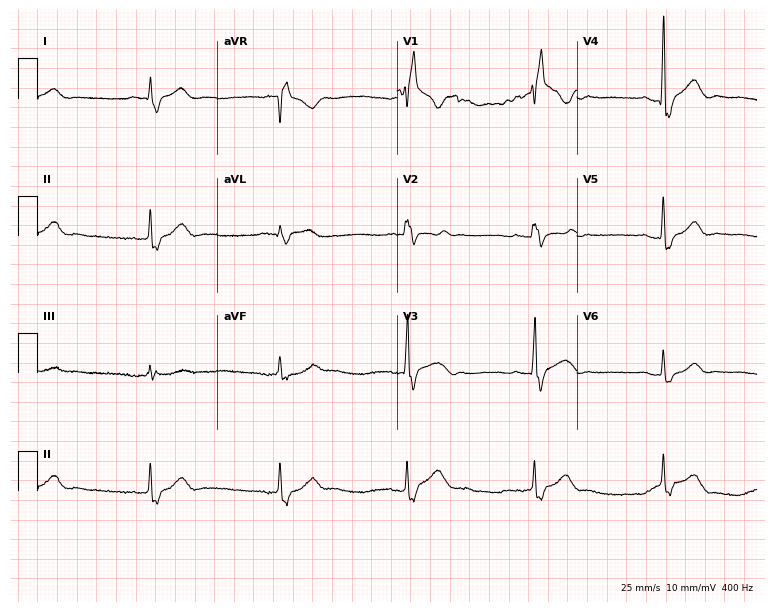
Resting 12-lead electrocardiogram. Patient: a male, 52 years old. The tracing shows right bundle branch block (RBBB), sinus bradycardia (a sinus rate of 50 beats per minute or less).